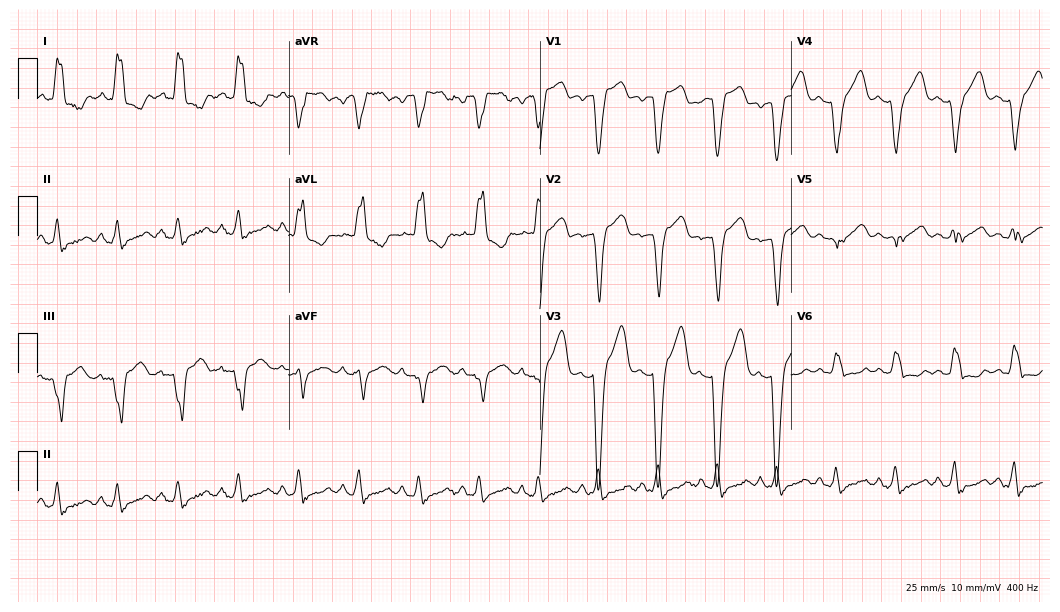
Standard 12-lead ECG recorded from a female, 66 years old (10.2-second recording at 400 Hz). The tracing shows left bundle branch block (LBBB).